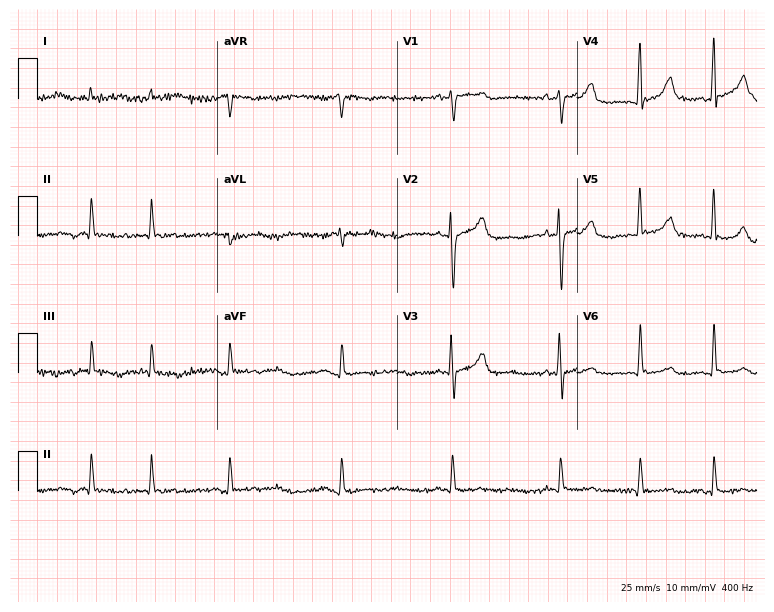
12-lead ECG from a 76-year-old male (7.3-second recording at 400 Hz). No first-degree AV block, right bundle branch block, left bundle branch block, sinus bradycardia, atrial fibrillation or sinus tachycardia recorded for this tracing. Findings outside these six are not listed.